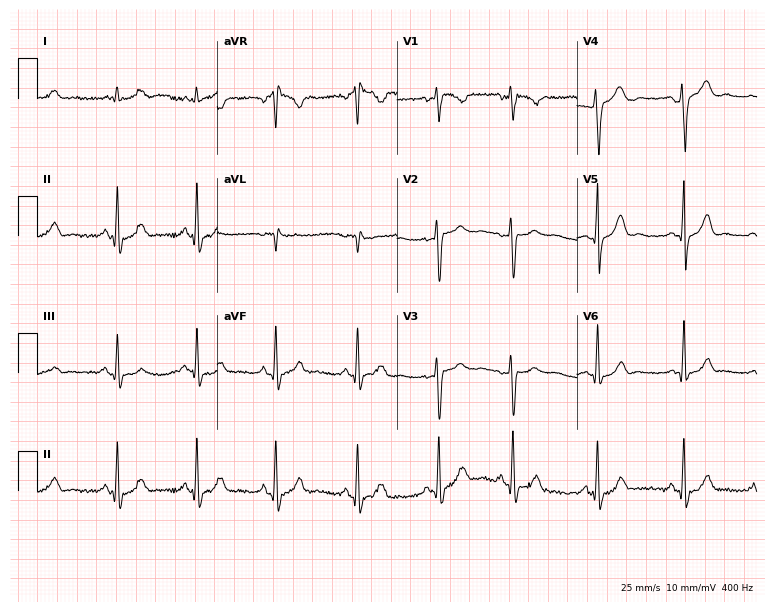
Resting 12-lead electrocardiogram. Patient: a woman, 19 years old. Read as a normal ECG.